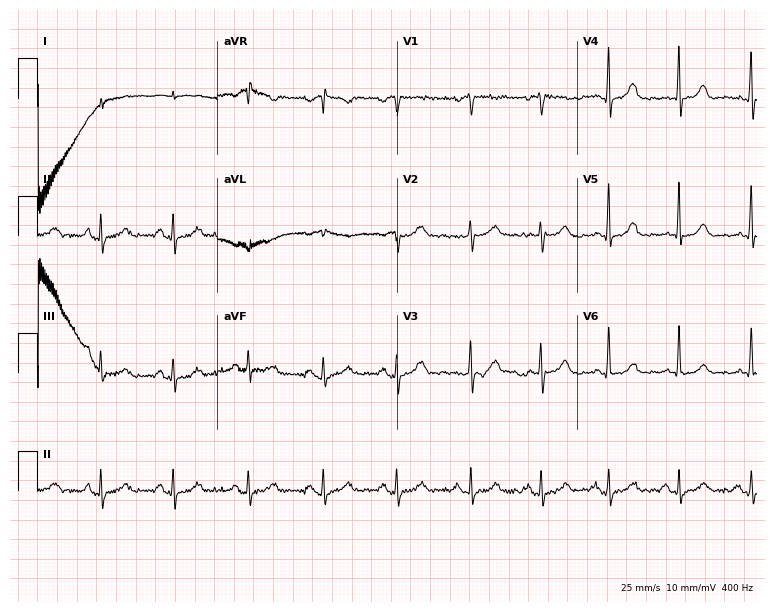
12-lead ECG (7.3-second recording at 400 Hz) from a 70-year-old female patient. Labelled as a normal ECG.